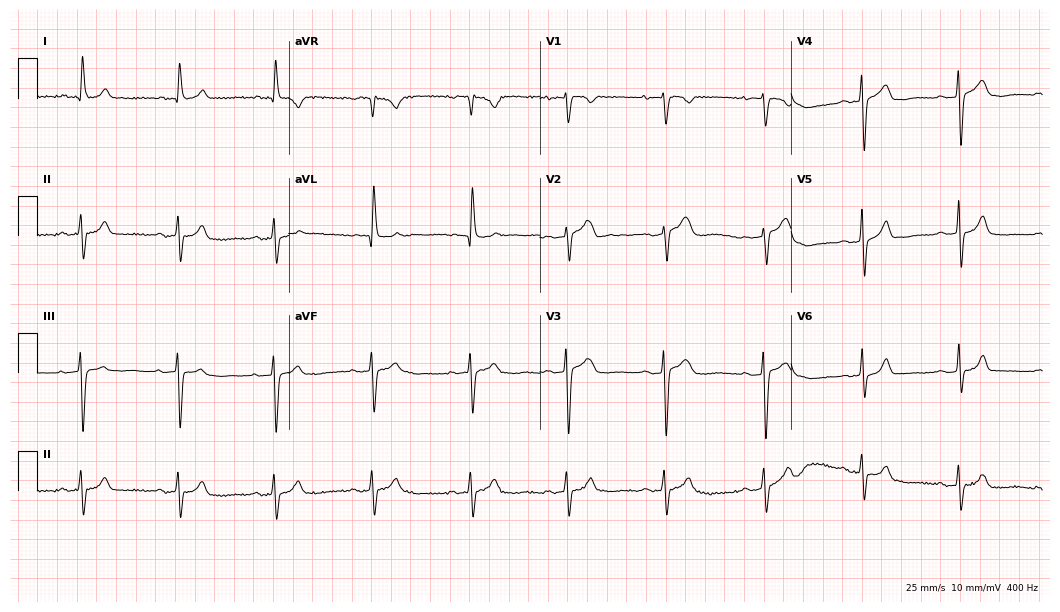
12-lead ECG from a female patient, 66 years old (10.2-second recording at 400 Hz). No first-degree AV block, right bundle branch block (RBBB), left bundle branch block (LBBB), sinus bradycardia, atrial fibrillation (AF) or sinus tachycardia recorded for this tracing. Only these six findings were labelled.